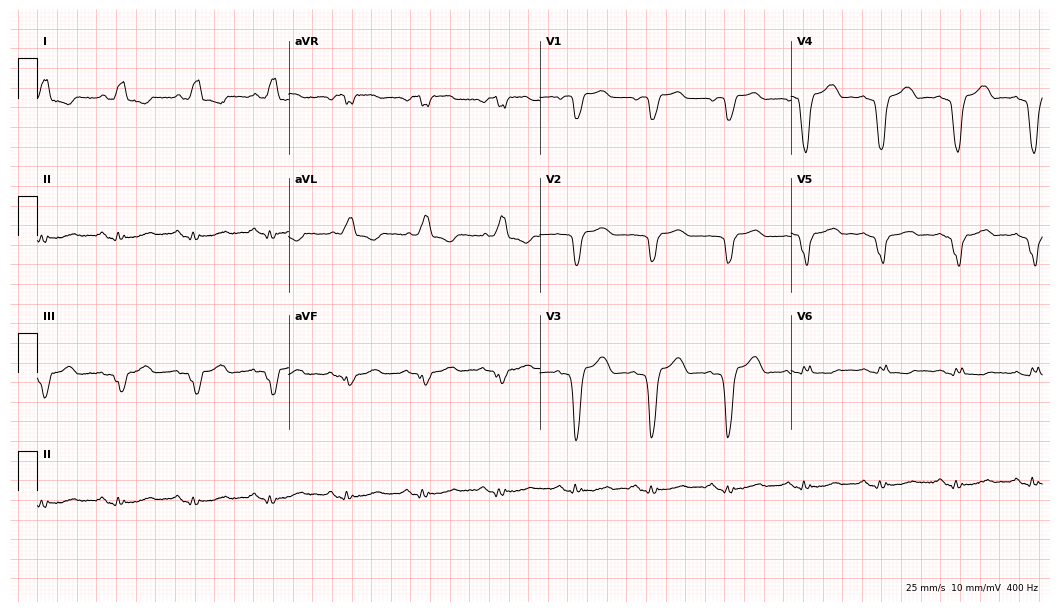
12-lead ECG from a 79-year-old female. Findings include left bundle branch block.